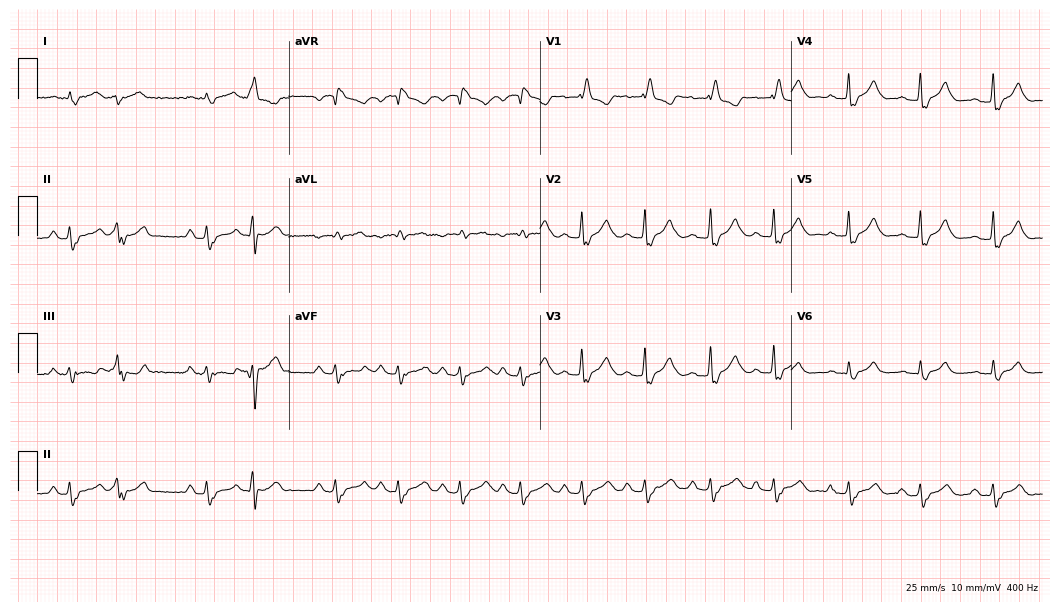
12-lead ECG from a man, 61 years old (10.2-second recording at 400 Hz). Shows right bundle branch block (RBBB).